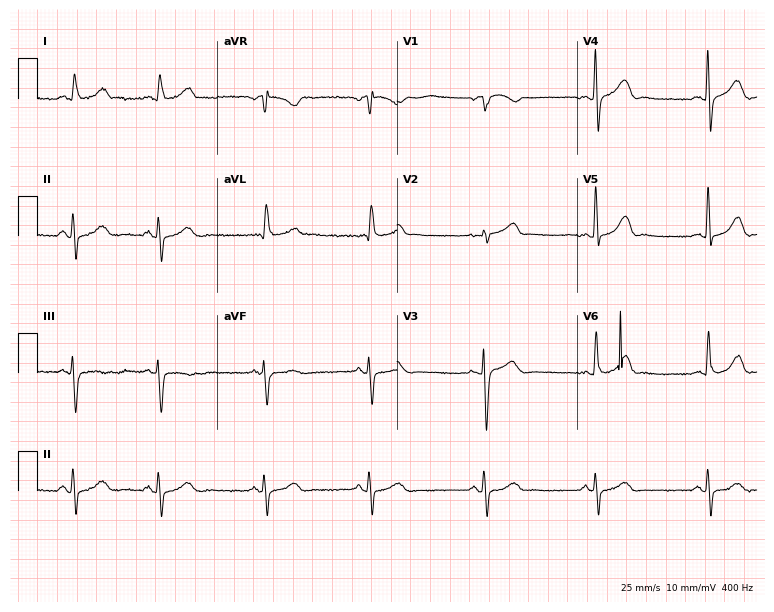
Standard 12-lead ECG recorded from a female, 81 years old. None of these six findings is recorded: first-degree AV block, right bundle branch block, left bundle branch block, sinus bradycardia, atrial fibrillation, sinus tachycardia.